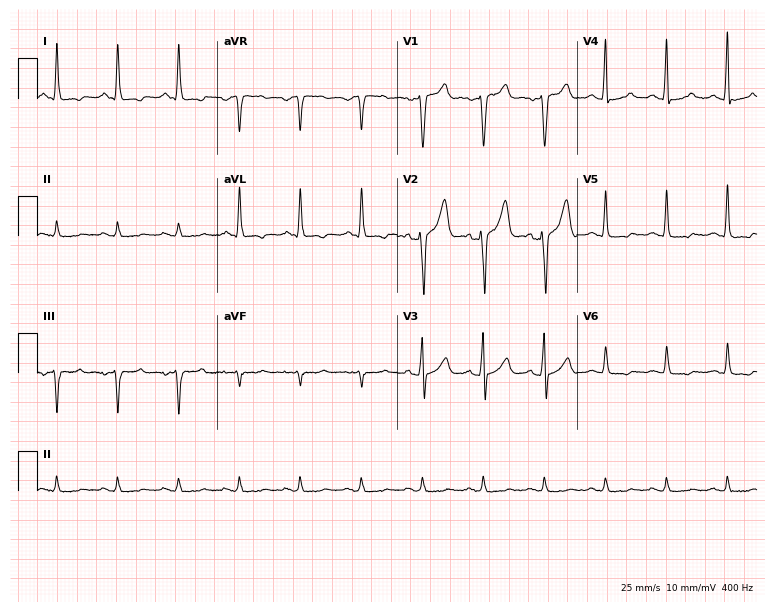
ECG (7.3-second recording at 400 Hz) — a 62-year-old male patient. Screened for six findings — first-degree AV block, right bundle branch block (RBBB), left bundle branch block (LBBB), sinus bradycardia, atrial fibrillation (AF), sinus tachycardia — none is recorded. Other findings, if any, are not listed.